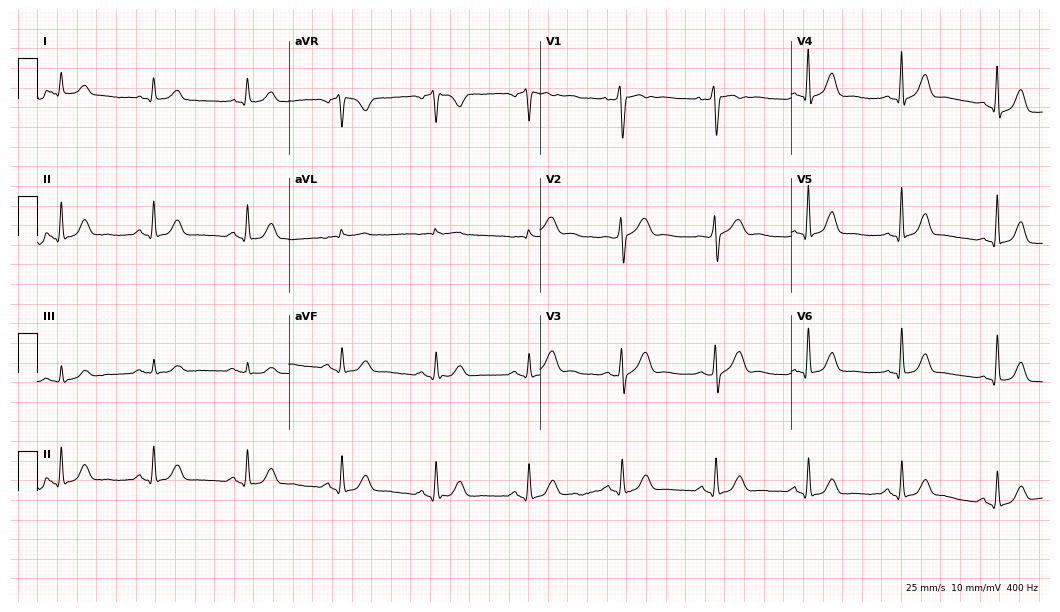
Resting 12-lead electrocardiogram. Patient: a 73-year-old male. Read as a normal ECG.